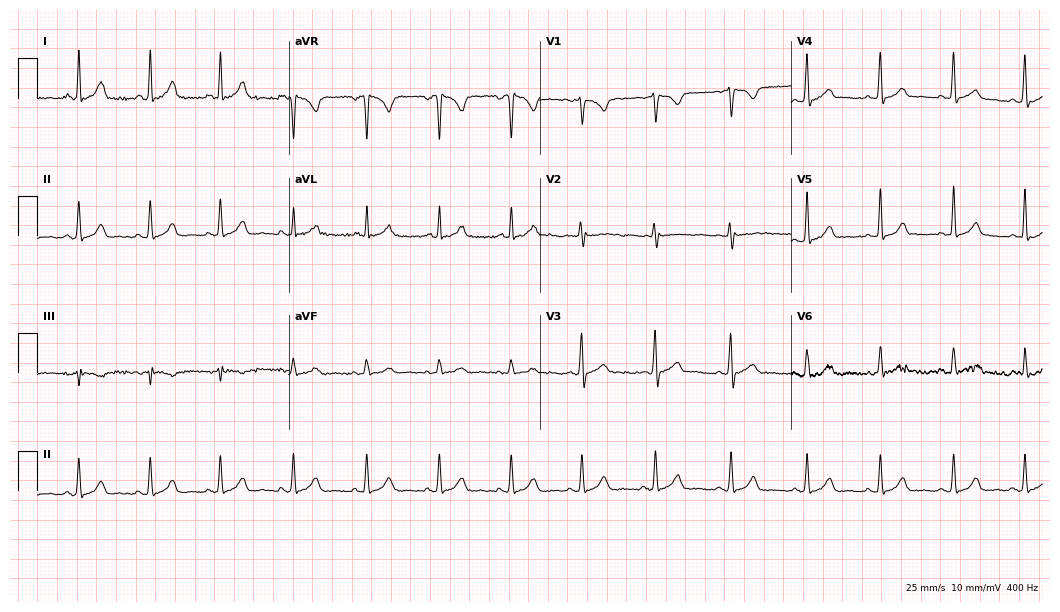
Electrocardiogram (10.2-second recording at 400 Hz), a female patient, 25 years old. Overall reading on record: normal ECG.